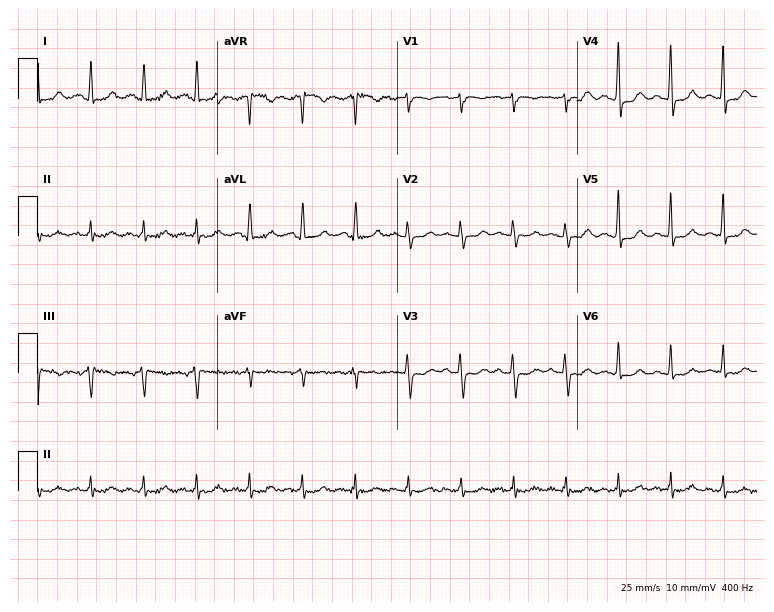
12-lead ECG from a 62-year-old female. Shows sinus tachycardia (a sinus rate of 100 beats per minute or more).